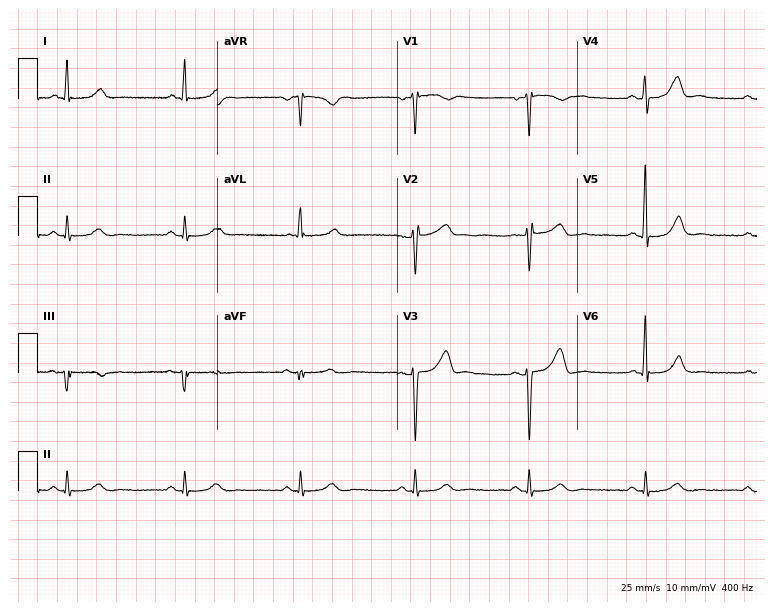
ECG (7.3-second recording at 400 Hz) — a male patient, 44 years old. Screened for six findings — first-degree AV block, right bundle branch block (RBBB), left bundle branch block (LBBB), sinus bradycardia, atrial fibrillation (AF), sinus tachycardia — none is recorded. Other findings, if any, are not listed.